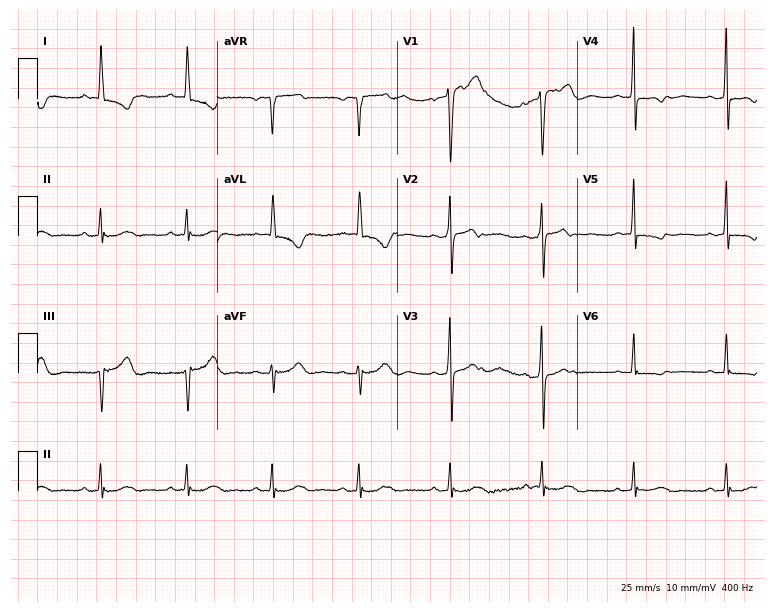
12-lead ECG (7.3-second recording at 400 Hz) from a 63-year-old female patient. Screened for six findings — first-degree AV block, right bundle branch block, left bundle branch block, sinus bradycardia, atrial fibrillation, sinus tachycardia — none is recorded.